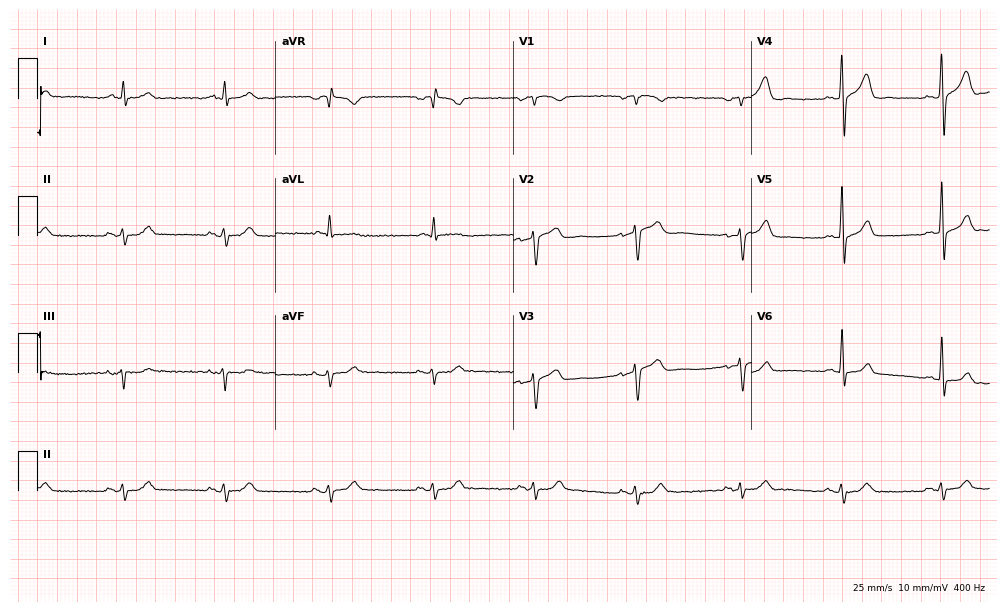
12-lead ECG from a 46-year-old male patient. No first-degree AV block, right bundle branch block (RBBB), left bundle branch block (LBBB), sinus bradycardia, atrial fibrillation (AF) or sinus tachycardia recorded for this tracing. Findings outside these six are not listed.